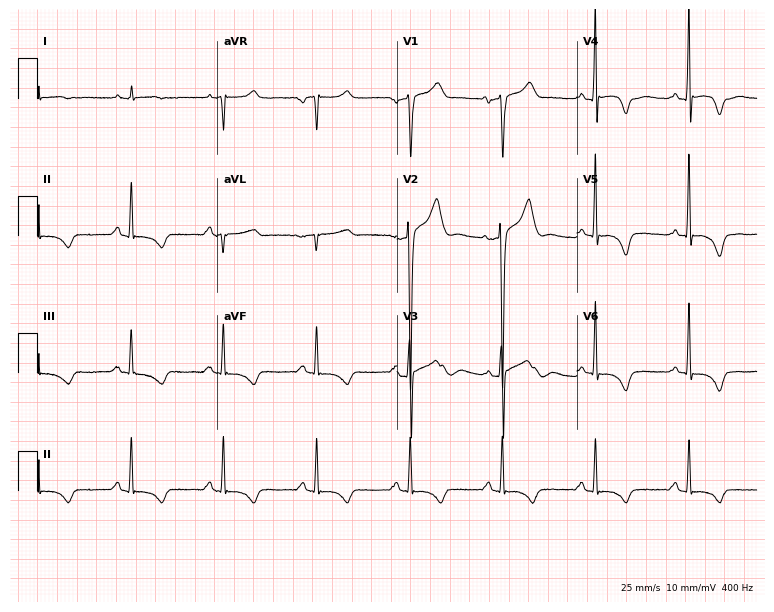
Standard 12-lead ECG recorded from a 64-year-old male patient. None of these six findings is recorded: first-degree AV block, right bundle branch block, left bundle branch block, sinus bradycardia, atrial fibrillation, sinus tachycardia. Findings outside these six are not listed.